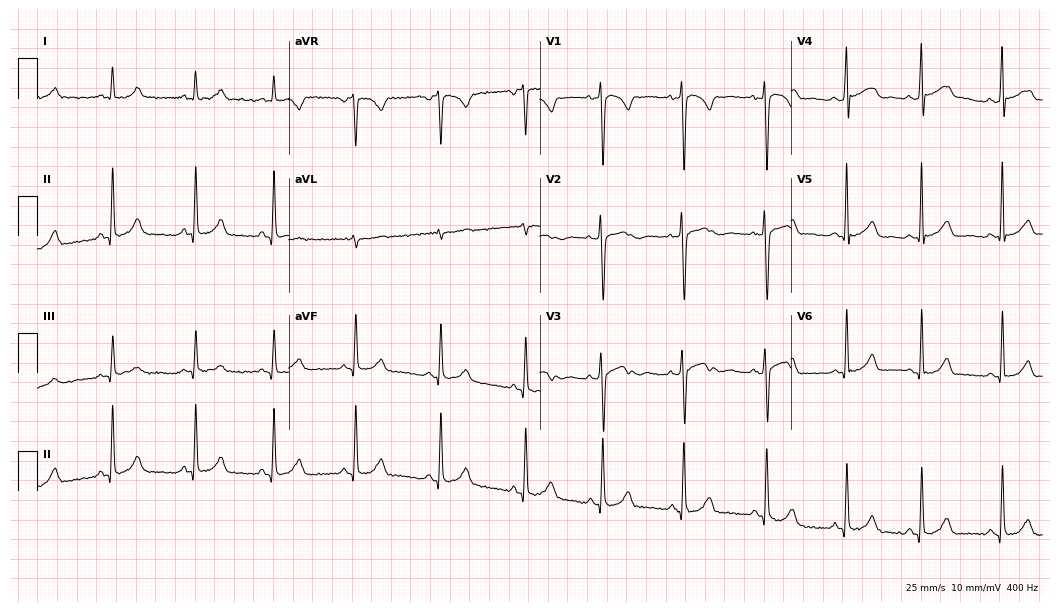
12-lead ECG from a 20-year-old female. No first-degree AV block, right bundle branch block, left bundle branch block, sinus bradycardia, atrial fibrillation or sinus tachycardia recorded for this tracing.